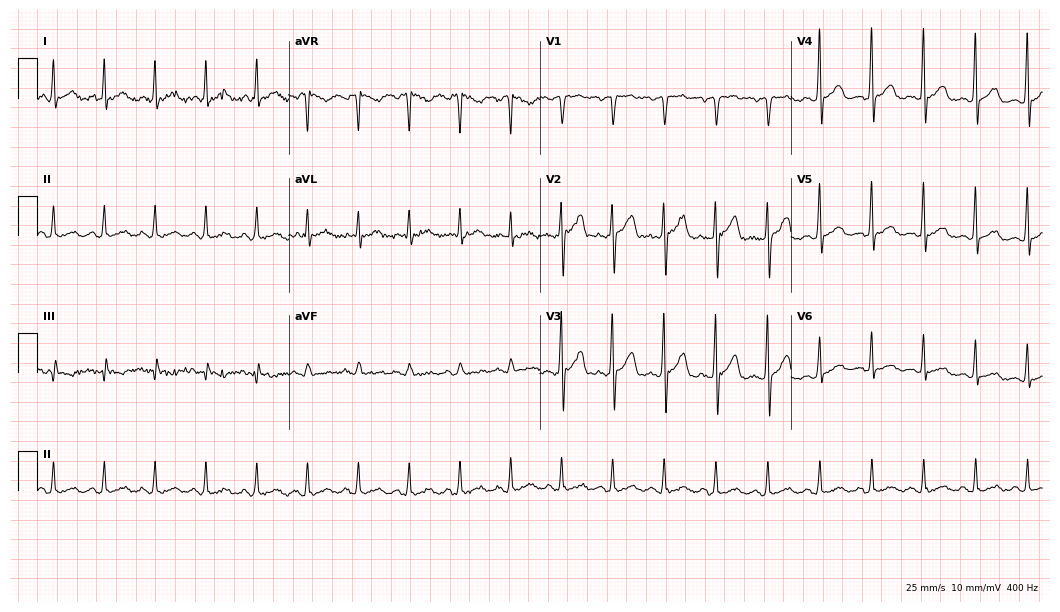
Standard 12-lead ECG recorded from a male patient, 65 years old (10.2-second recording at 400 Hz). The tracing shows sinus tachycardia (a sinus rate of 100 beats per minute or more).